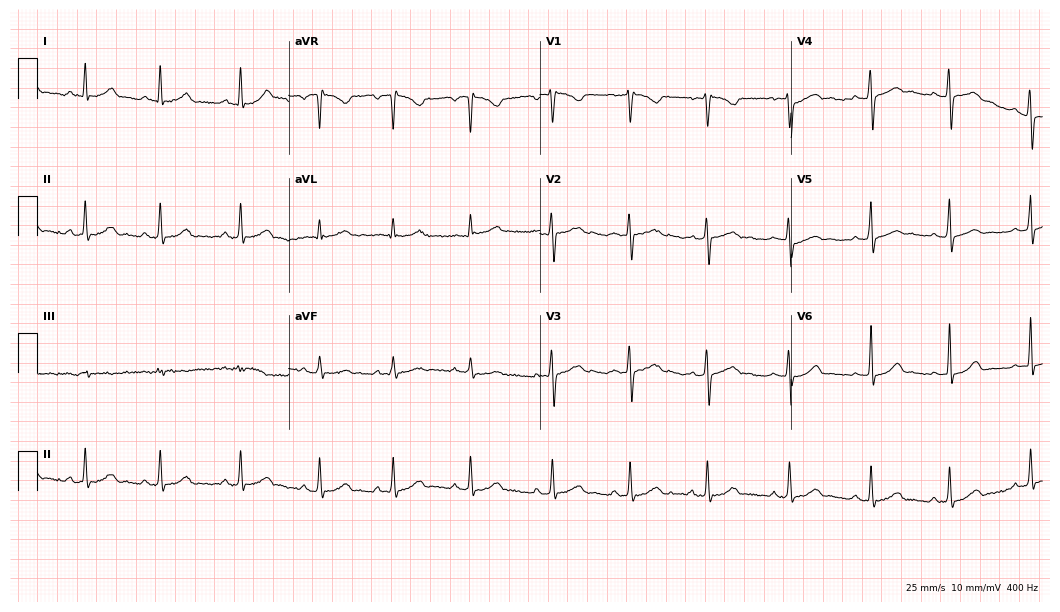
Resting 12-lead electrocardiogram. Patient: a woman, 17 years old. Read as a normal ECG.